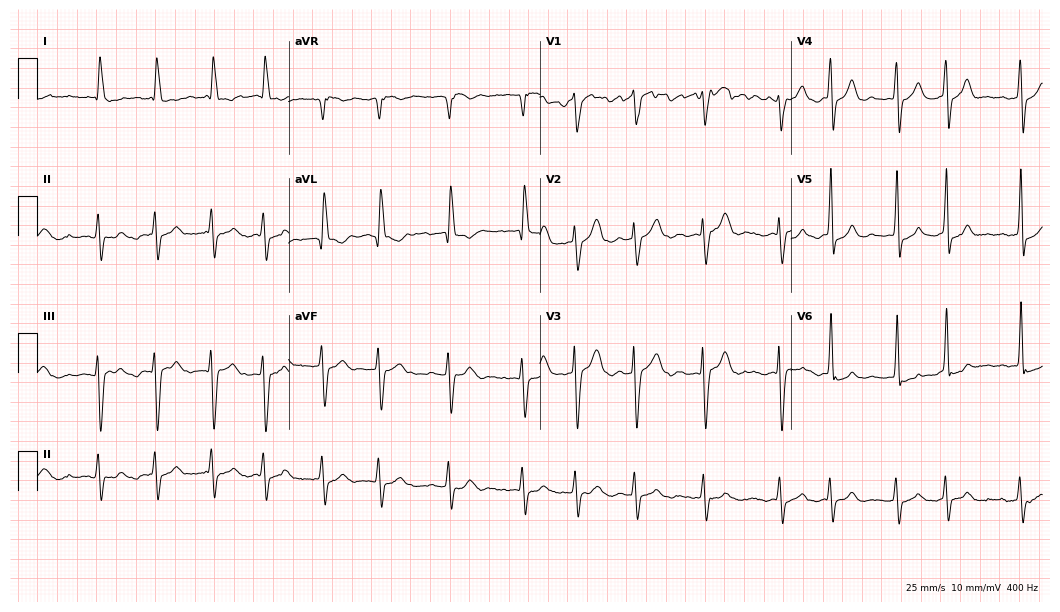
Standard 12-lead ECG recorded from a woman, 77 years old. The tracing shows atrial fibrillation.